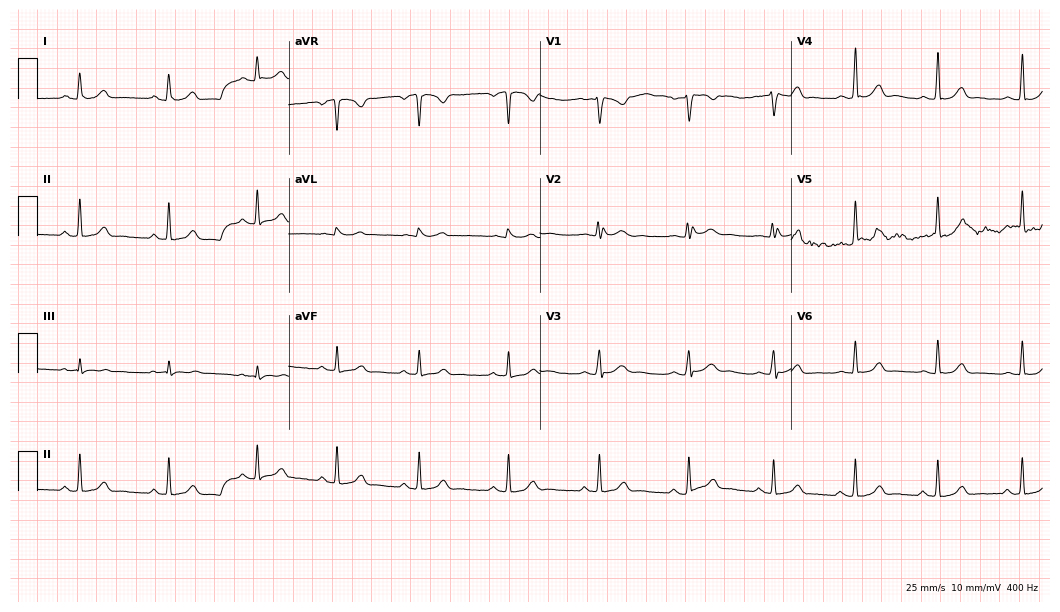
12-lead ECG (10.2-second recording at 400 Hz) from a 23-year-old female. Labelled as a normal ECG.